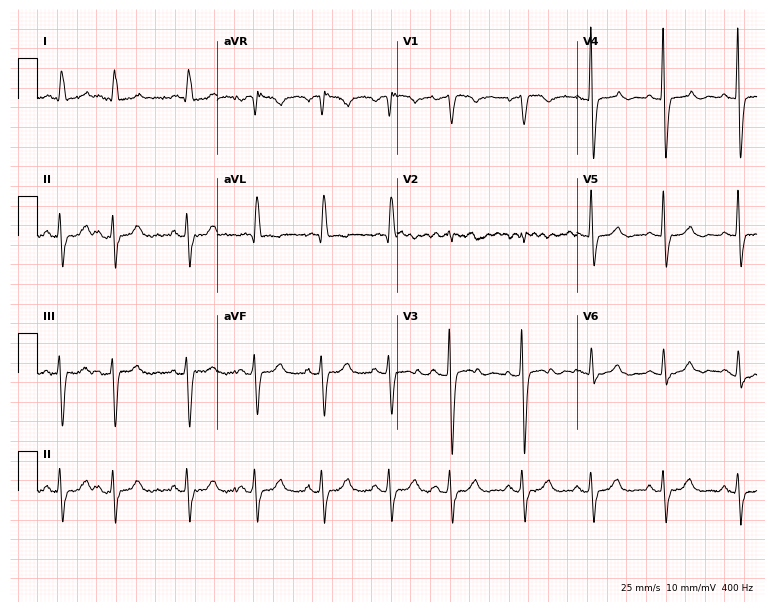
12-lead ECG (7.3-second recording at 400 Hz) from a 75-year-old female. Screened for six findings — first-degree AV block, right bundle branch block (RBBB), left bundle branch block (LBBB), sinus bradycardia, atrial fibrillation (AF), sinus tachycardia — none is recorded.